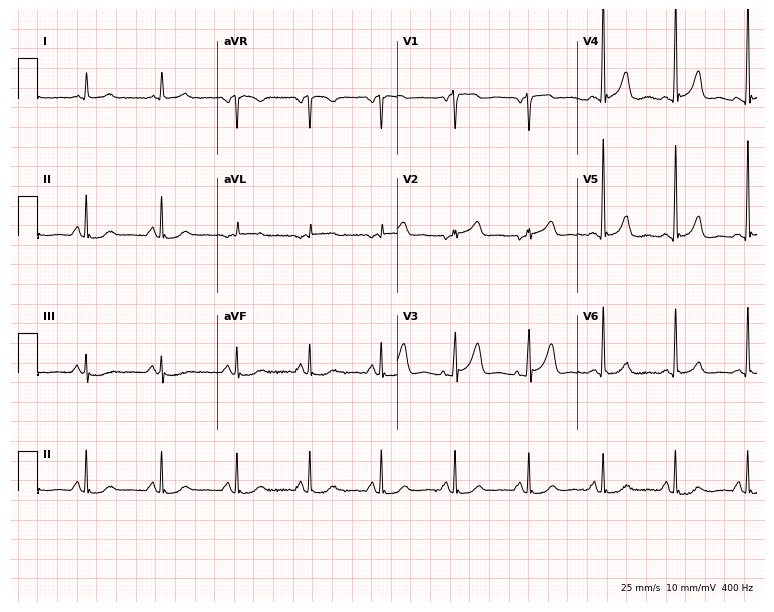
Electrocardiogram (7.3-second recording at 400 Hz), a male patient, 74 years old. Of the six screened findings (first-degree AV block, right bundle branch block, left bundle branch block, sinus bradycardia, atrial fibrillation, sinus tachycardia), none is recorded.